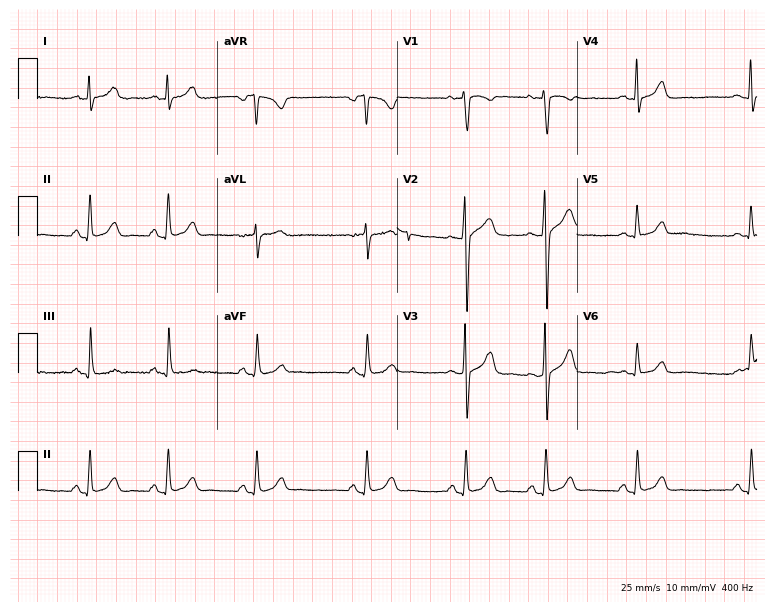
Resting 12-lead electrocardiogram. Patient: a woman, 17 years old. Read as a normal ECG.